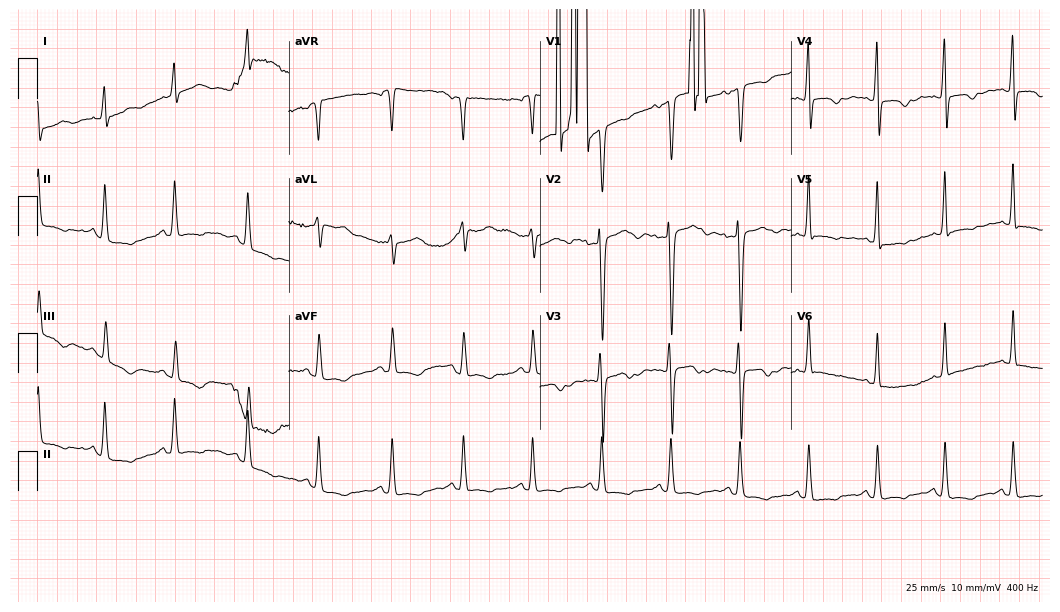
Electrocardiogram, a female patient, 33 years old. Of the six screened findings (first-degree AV block, right bundle branch block, left bundle branch block, sinus bradycardia, atrial fibrillation, sinus tachycardia), none is recorded.